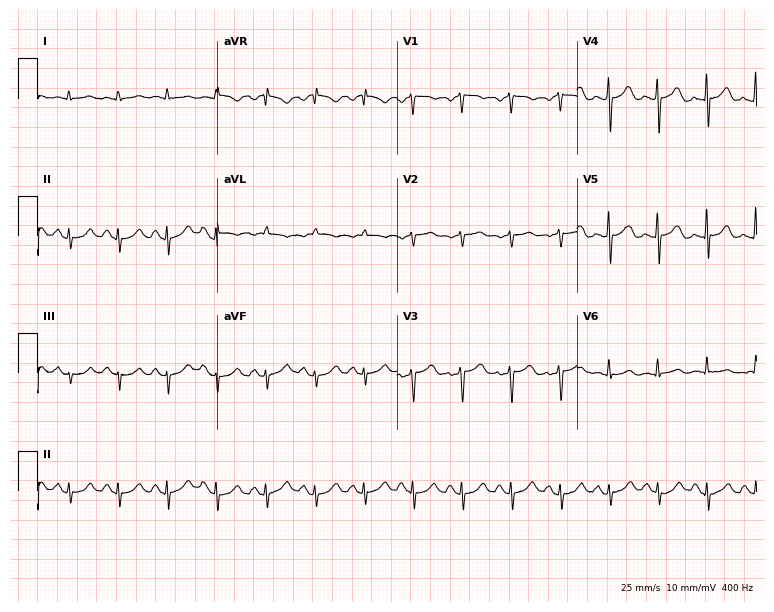
ECG (7.3-second recording at 400 Hz) — a man, 63 years old. Findings include sinus tachycardia (a sinus rate of 100 beats per minute or more).